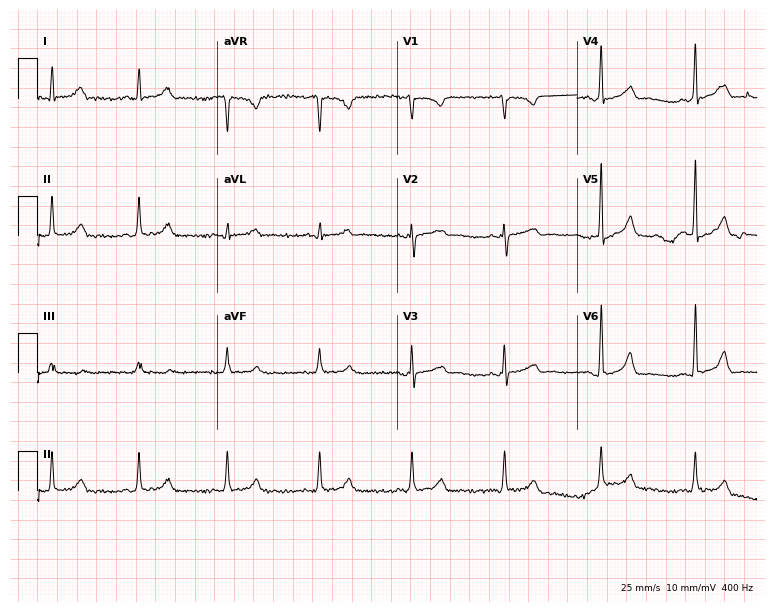
12-lead ECG from a 39-year-old female patient. Labelled as a normal ECG.